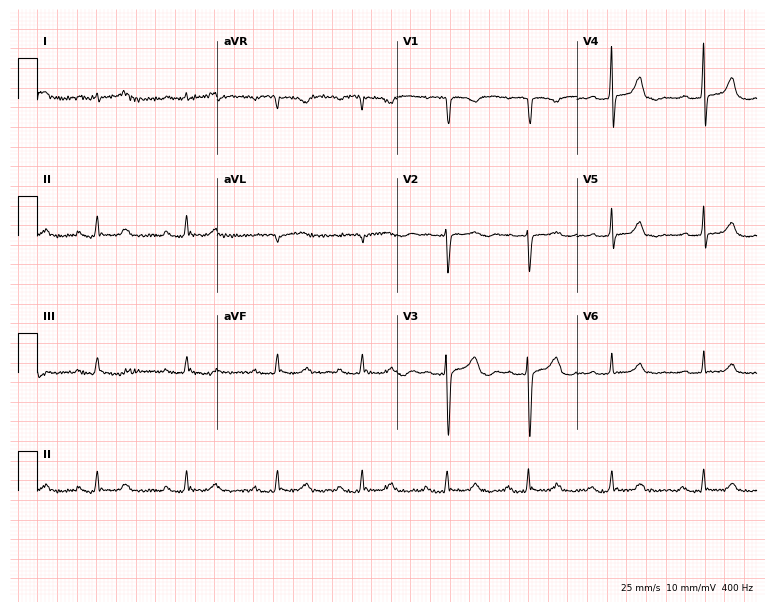
12-lead ECG from a 33-year-old woman (7.3-second recording at 400 Hz). No first-degree AV block, right bundle branch block, left bundle branch block, sinus bradycardia, atrial fibrillation or sinus tachycardia recorded for this tracing.